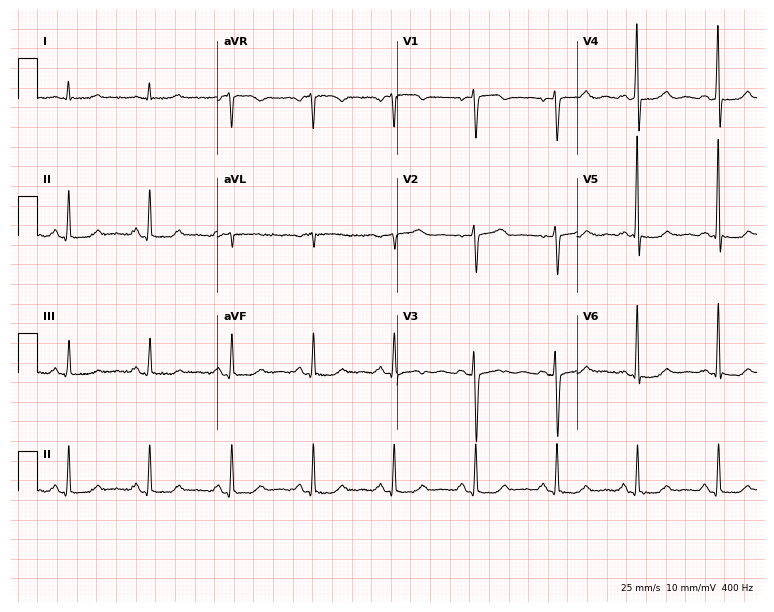
Resting 12-lead electrocardiogram. Patient: a female, 53 years old. None of these six findings is recorded: first-degree AV block, right bundle branch block, left bundle branch block, sinus bradycardia, atrial fibrillation, sinus tachycardia.